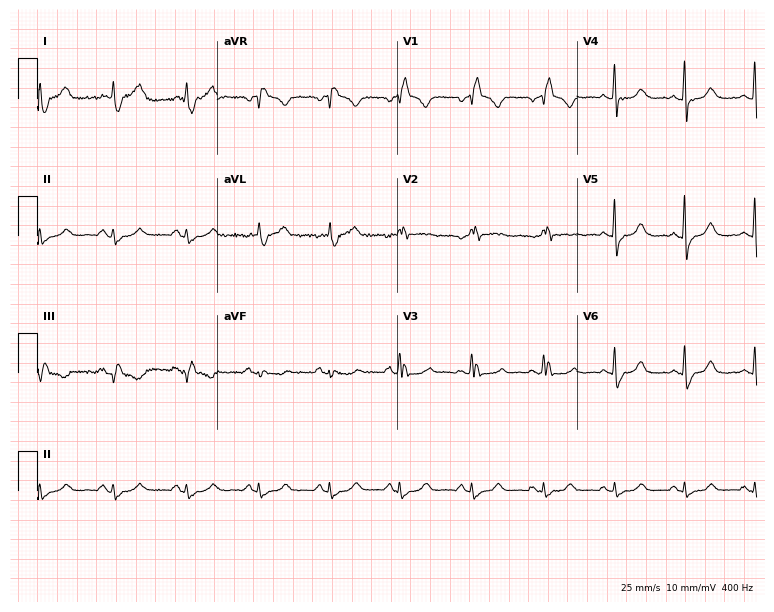
12-lead ECG (7.3-second recording at 400 Hz) from a woman, 81 years old. Findings include right bundle branch block.